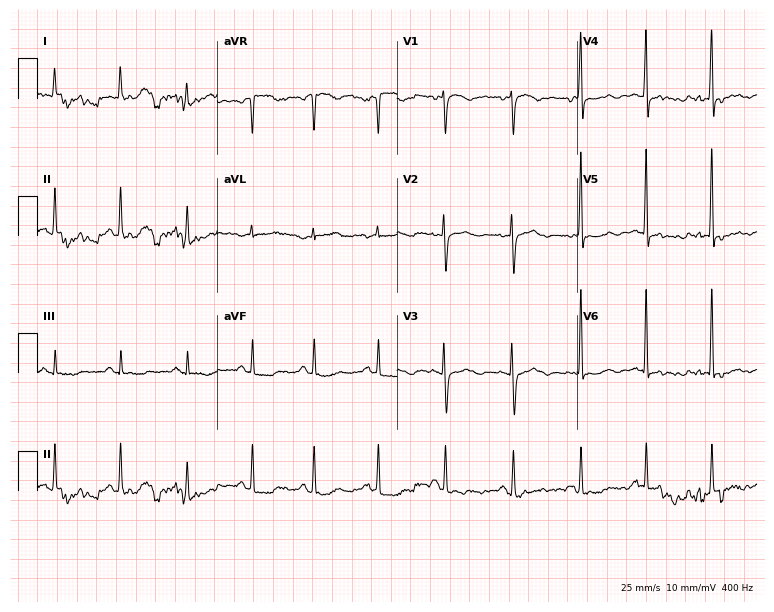
12-lead ECG from a 40-year-old man (7.3-second recording at 400 Hz). No first-degree AV block, right bundle branch block, left bundle branch block, sinus bradycardia, atrial fibrillation or sinus tachycardia recorded for this tracing. Other findings, if any, are not listed.